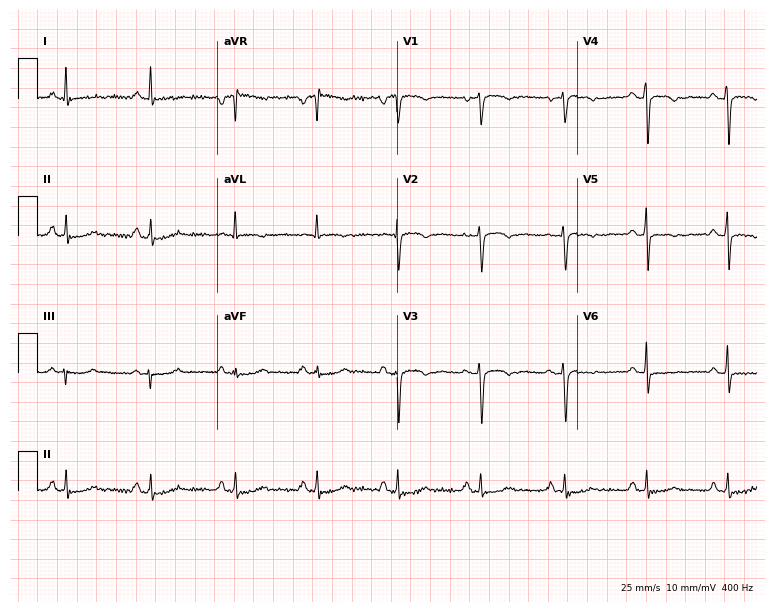
12-lead ECG from a female patient, 43 years old. No first-degree AV block, right bundle branch block, left bundle branch block, sinus bradycardia, atrial fibrillation or sinus tachycardia recorded for this tracing.